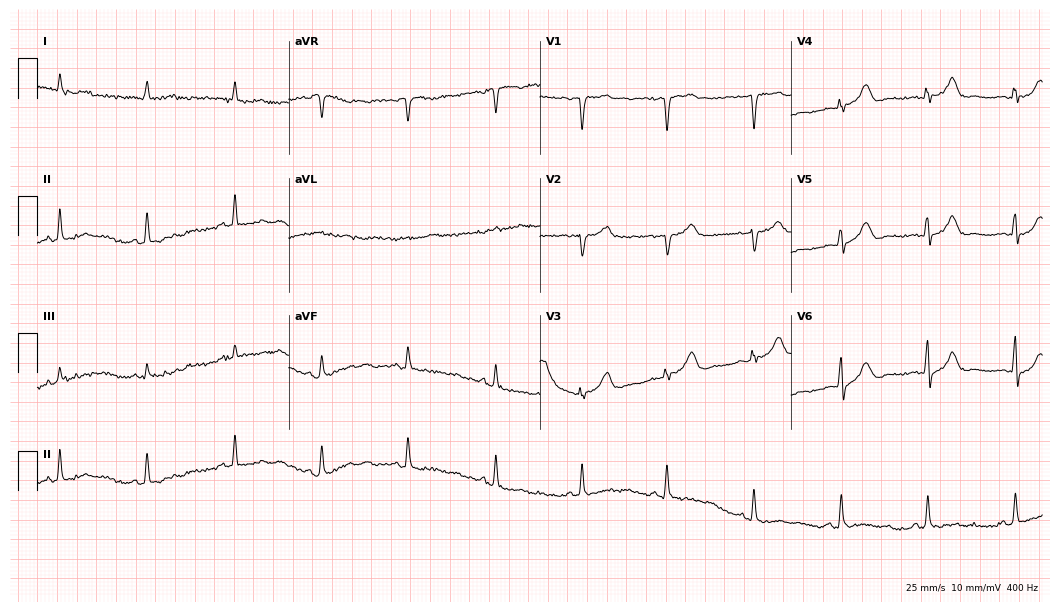
12-lead ECG from a male patient, 84 years old. No first-degree AV block, right bundle branch block (RBBB), left bundle branch block (LBBB), sinus bradycardia, atrial fibrillation (AF) or sinus tachycardia recorded for this tracing.